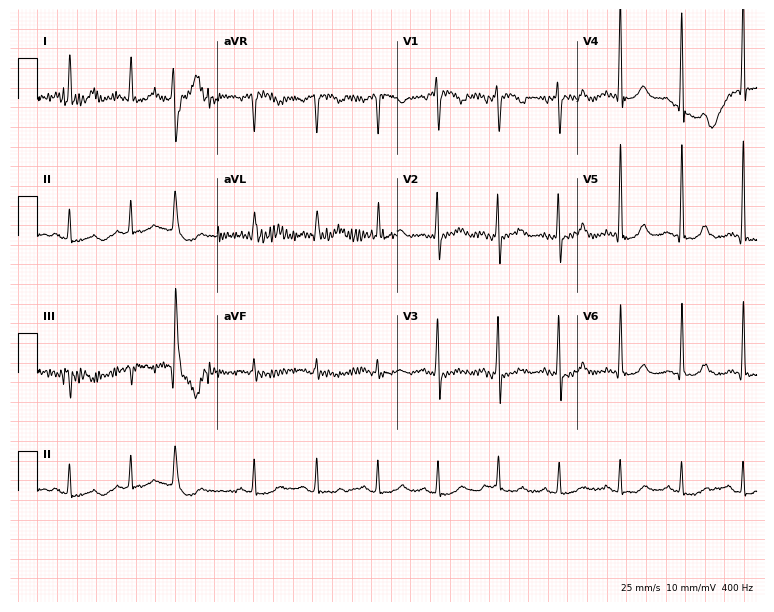
12-lead ECG (7.3-second recording at 400 Hz) from a male, 62 years old. Labelled as a normal ECG.